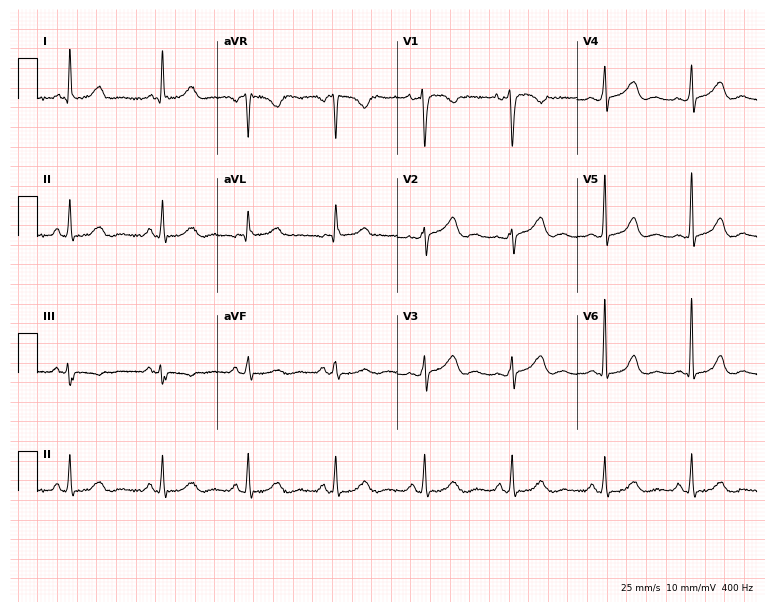
Electrocardiogram, a female patient, 57 years old. Of the six screened findings (first-degree AV block, right bundle branch block, left bundle branch block, sinus bradycardia, atrial fibrillation, sinus tachycardia), none is recorded. Other findings, if any, are not listed.